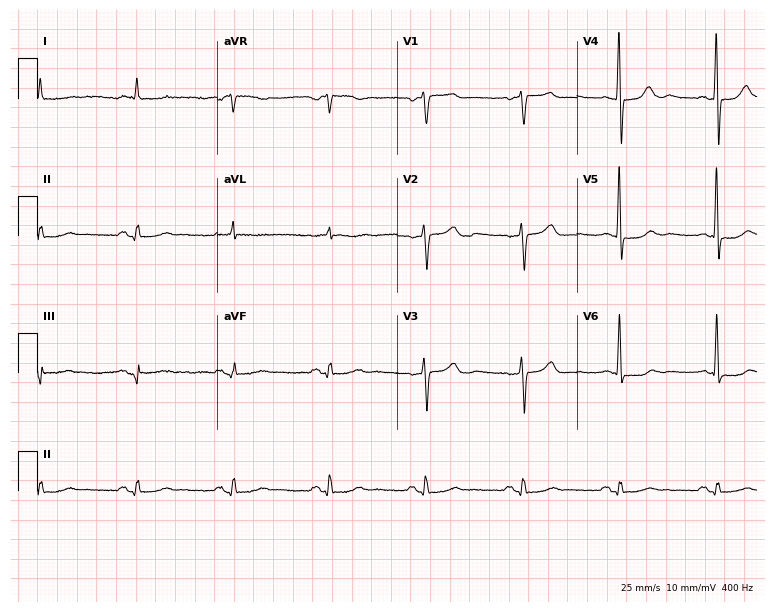
12-lead ECG from a male patient, 75 years old. Labelled as a normal ECG.